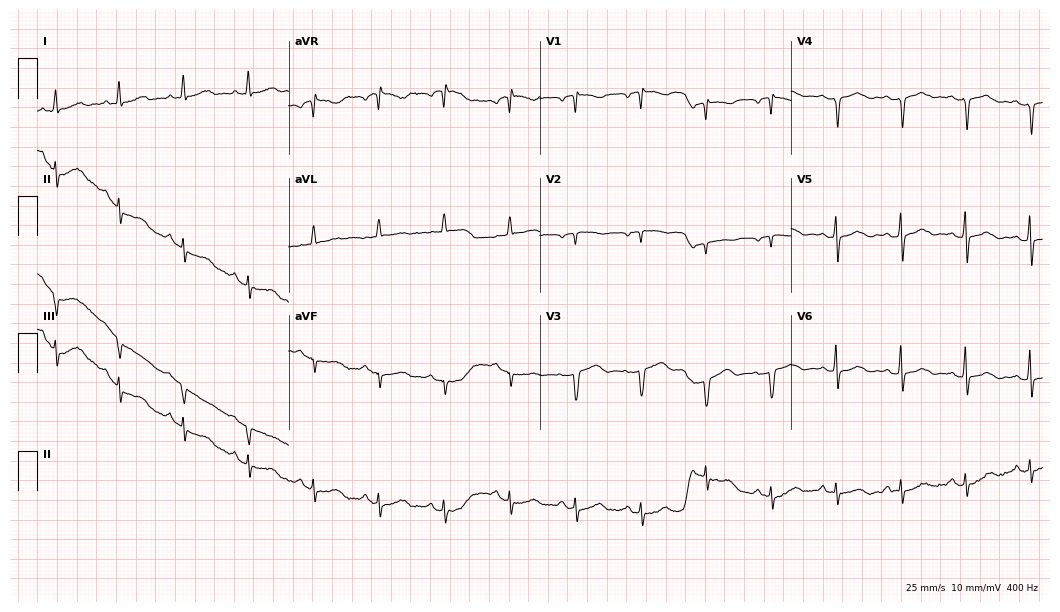
Standard 12-lead ECG recorded from a female patient, 82 years old. None of these six findings is recorded: first-degree AV block, right bundle branch block (RBBB), left bundle branch block (LBBB), sinus bradycardia, atrial fibrillation (AF), sinus tachycardia.